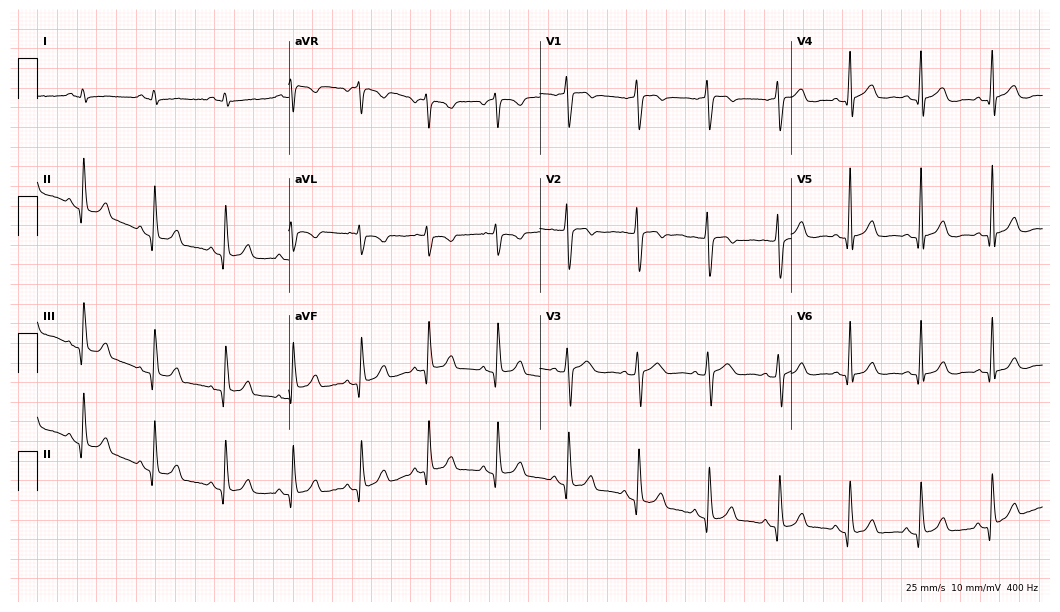
12-lead ECG (10.2-second recording at 400 Hz) from a male patient, 43 years old. Labelled as a normal ECG.